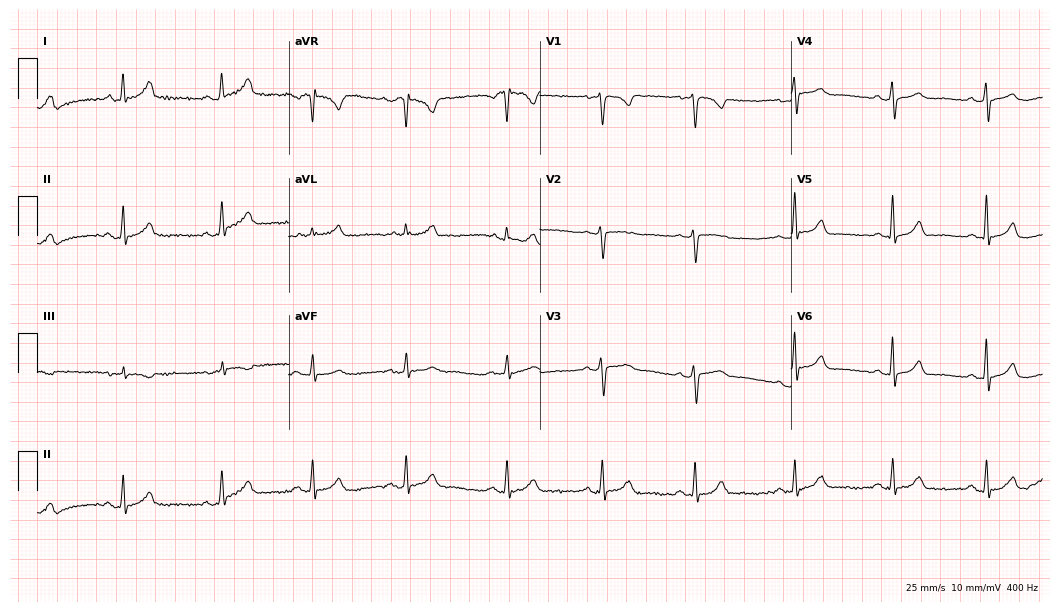
12-lead ECG from a 40-year-old woman (10.2-second recording at 400 Hz). No first-degree AV block, right bundle branch block, left bundle branch block, sinus bradycardia, atrial fibrillation or sinus tachycardia recorded for this tracing. Only these six findings were labelled.